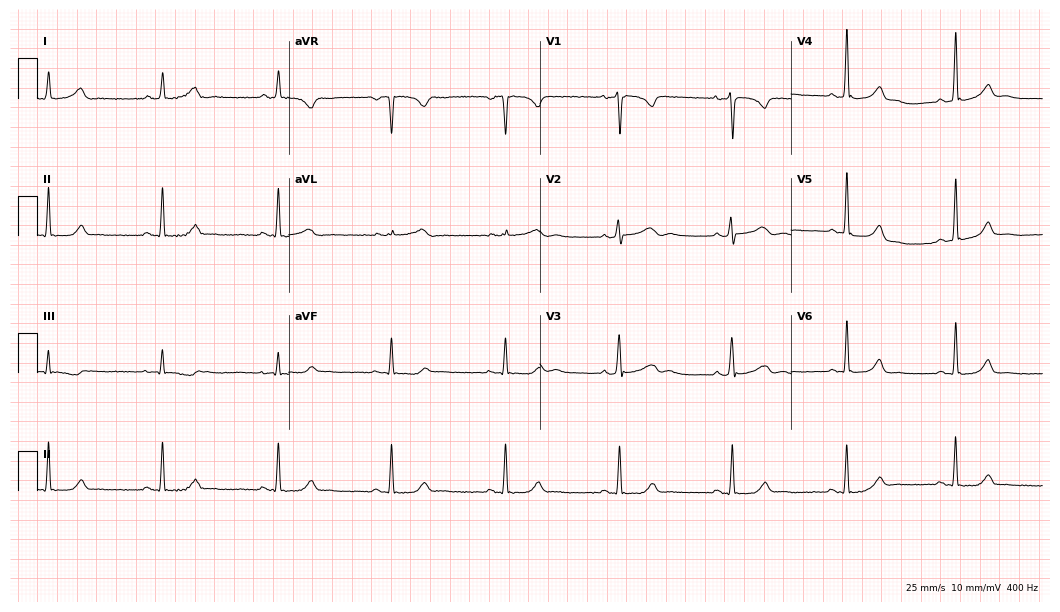
ECG — a 38-year-old female patient. Labelled as a normal ECG.